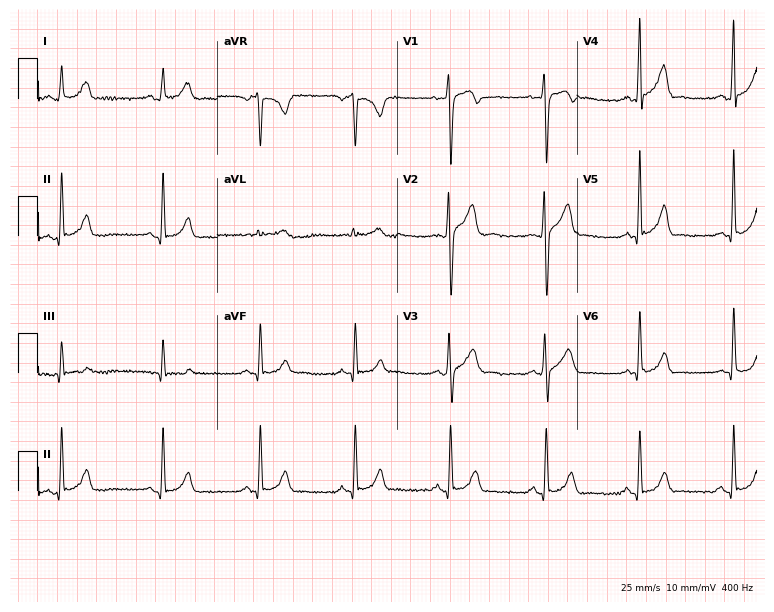
Electrocardiogram, a 21-year-old male. Overall reading on record: normal ECG.